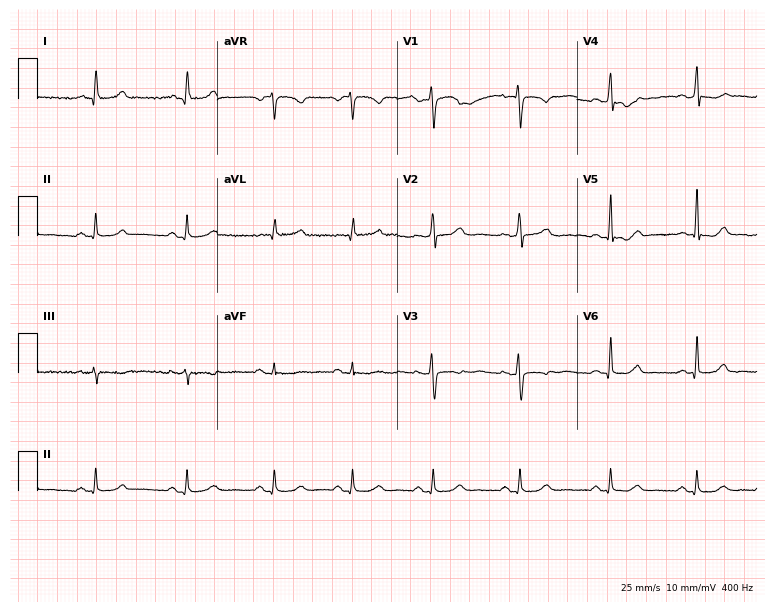
Standard 12-lead ECG recorded from a 30-year-old woman (7.3-second recording at 400 Hz). None of these six findings is recorded: first-degree AV block, right bundle branch block (RBBB), left bundle branch block (LBBB), sinus bradycardia, atrial fibrillation (AF), sinus tachycardia. Other findings, if any, are not listed.